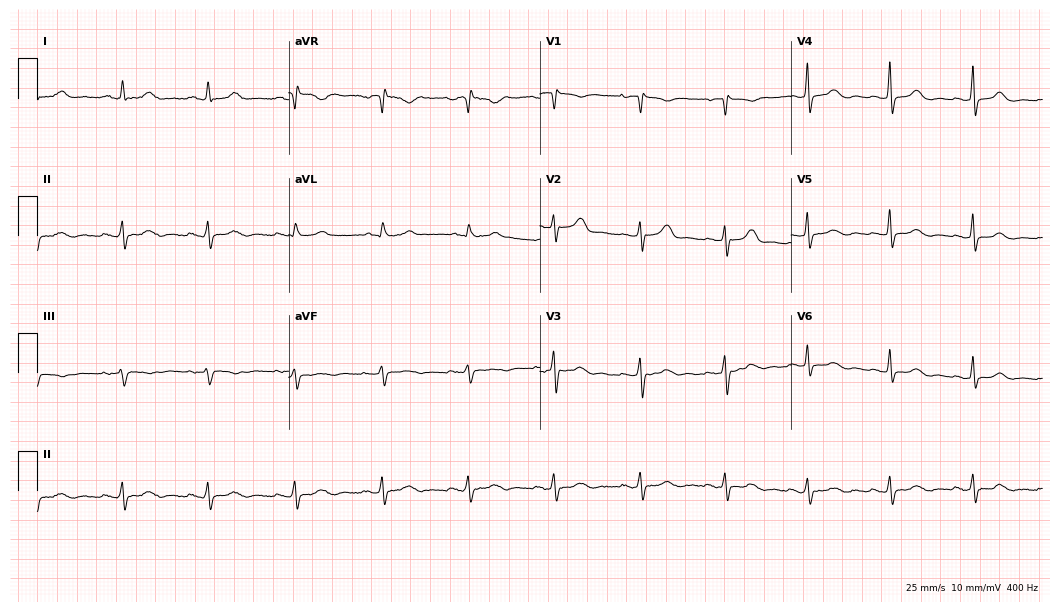
12-lead ECG from a female, 61 years old. Screened for six findings — first-degree AV block, right bundle branch block, left bundle branch block, sinus bradycardia, atrial fibrillation, sinus tachycardia — none is recorded. Findings outside these six are not listed.